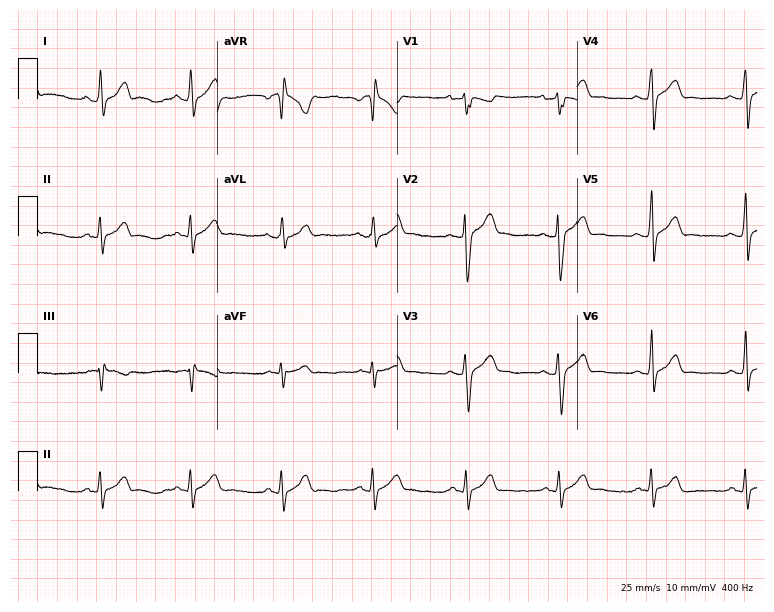
Resting 12-lead electrocardiogram (7.3-second recording at 400 Hz). Patient: a male, 26 years old. Read as a normal ECG.